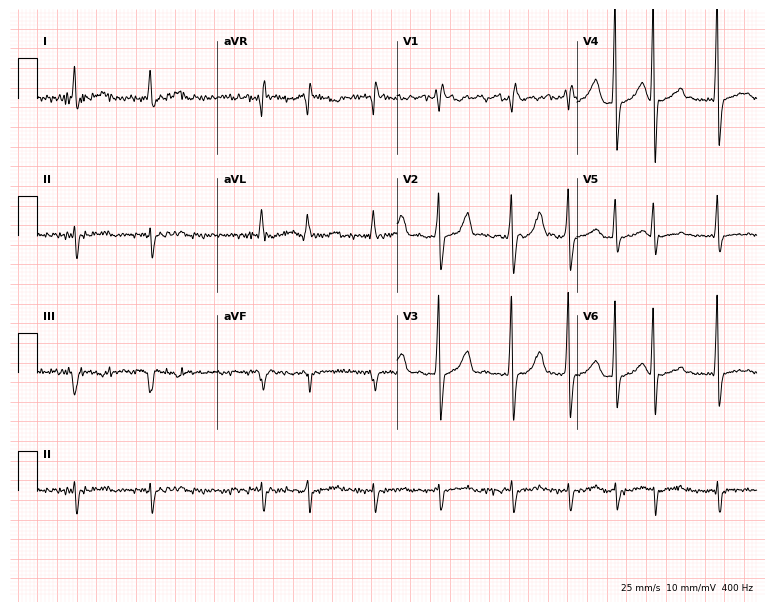
12-lead ECG from a male patient, 74 years old. Screened for six findings — first-degree AV block, right bundle branch block (RBBB), left bundle branch block (LBBB), sinus bradycardia, atrial fibrillation (AF), sinus tachycardia — none is recorded. Other findings, if any, are not listed.